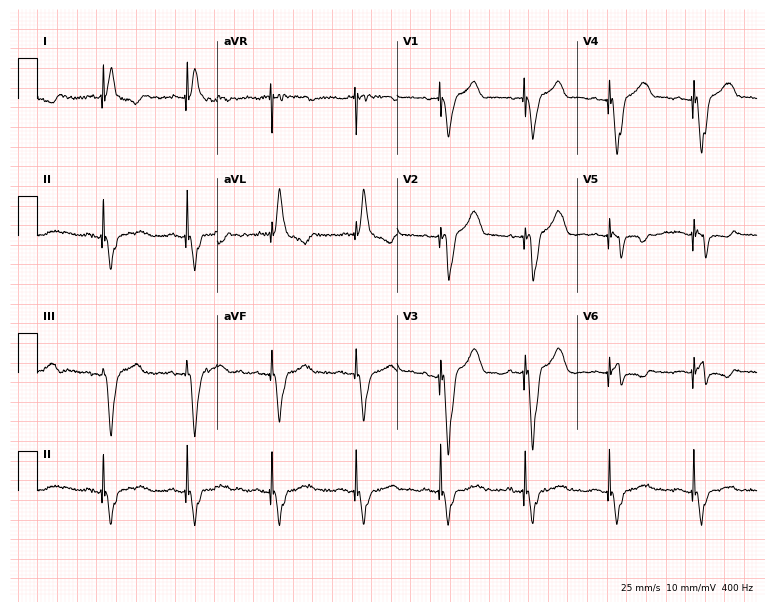
12-lead ECG from a man, 80 years old. No first-degree AV block, right bundle branch block, left bundle branch block, sinus bradycardia, atrial fibrillation or sinus tachycardia recorded for this tracing.